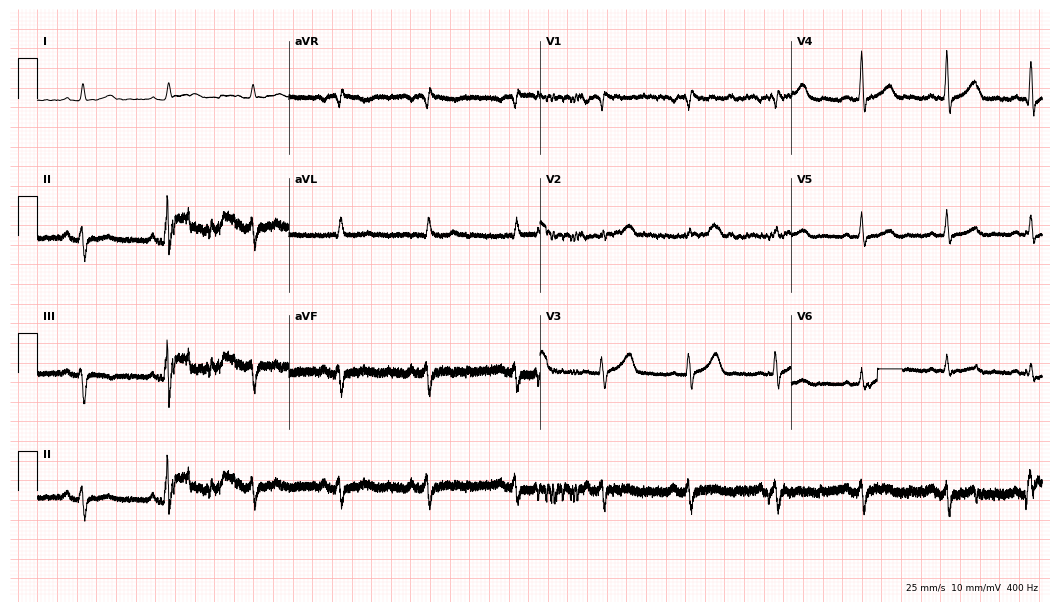
12-lead ECG (10.2-second recording at 400 Hz) from a 76-year-old man. Screened for six findings — first-degree AV block, right bundle branch block, left bundle branch block, sinus bradycardia, atrial fibrillation, sinus tachycardia — none is recorded.